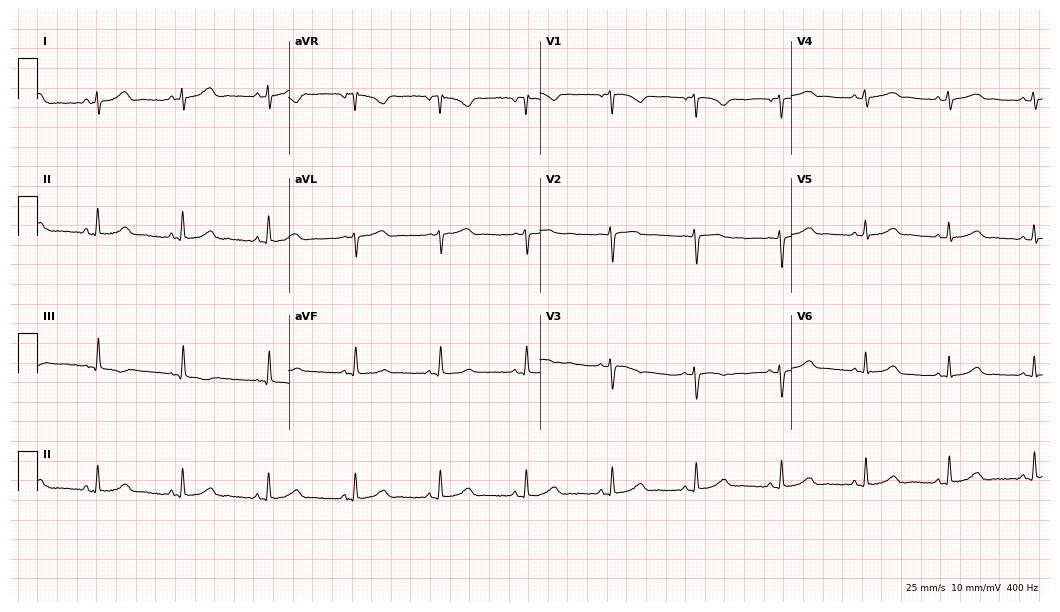
Standard 12-lead ECG recorded from a 37-year-old woman (10.2-second recording at 400 Hz). Read as a normal ECG.